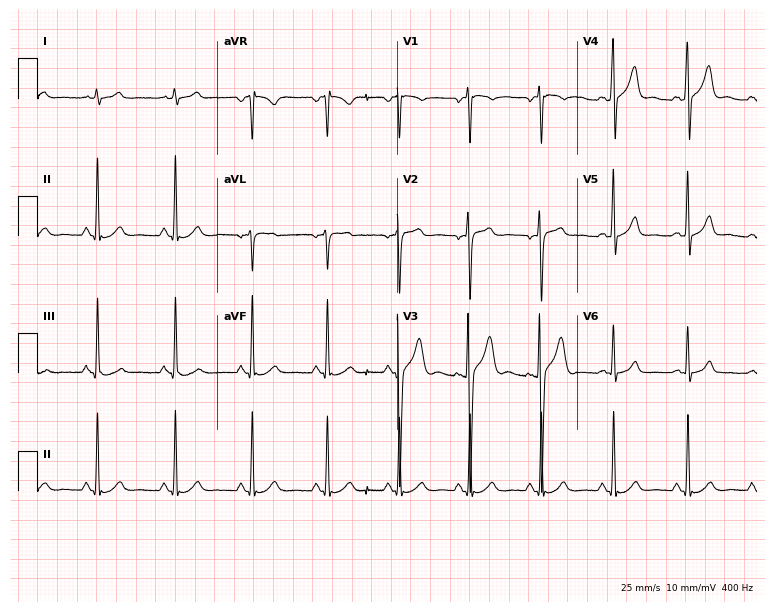
Resting 12-lead electrocardiogram (7.3-second recording at 400 Hz). Patient: a male, 20 years old. None of these six findings is recorded: first-degree AV block, right bundle branch block, left bundle branch block, sinus bradycardia, atrial fibrillation, sinus tachycardia.